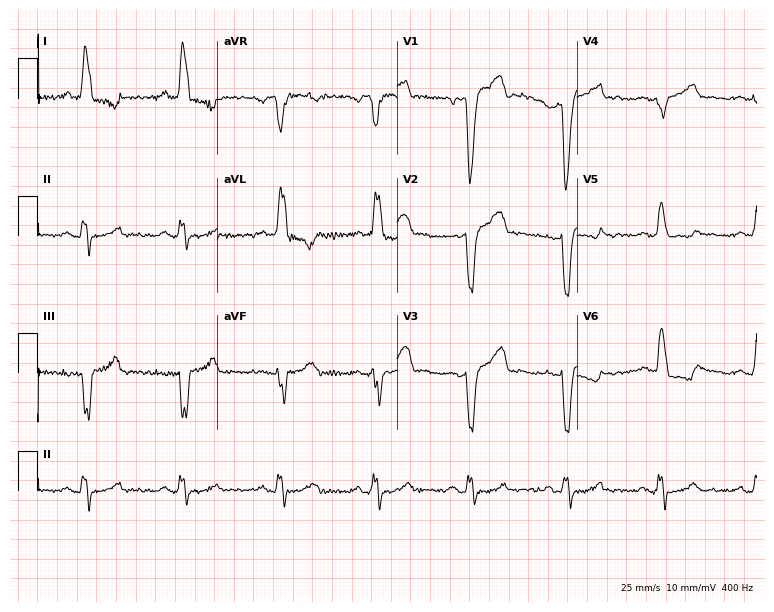
12-lead ECG from a 50-year-old female patient (7.3-second recording at 400 Hz). Shows left bundle branch block (LBBB).